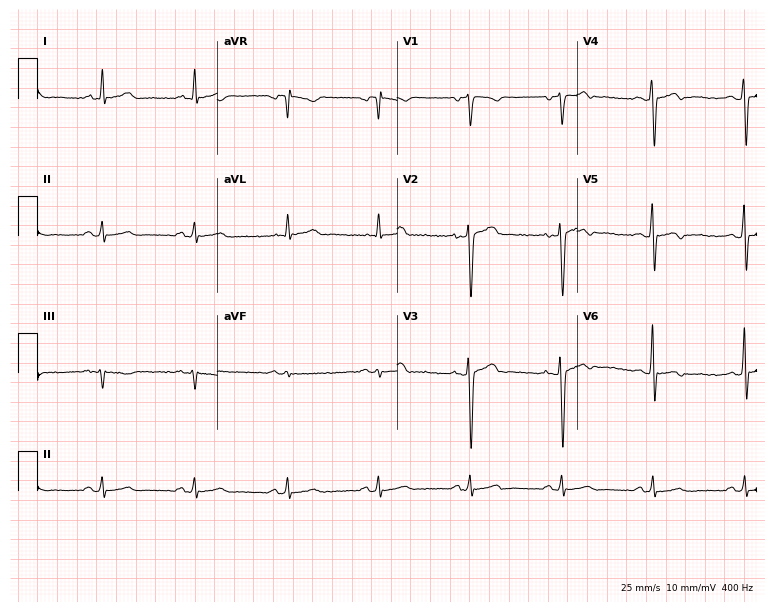
Electrocardiogram (7.3-second recording at 400 Hz), a man, 41 years old. Of the six screened findings (first-degree AV block, right bundle branch block (RBBB), left bundle branch block (LBBB), sinus bradycardia, atrial fibrillation (AF), sinus tachycardia), none is recorded.